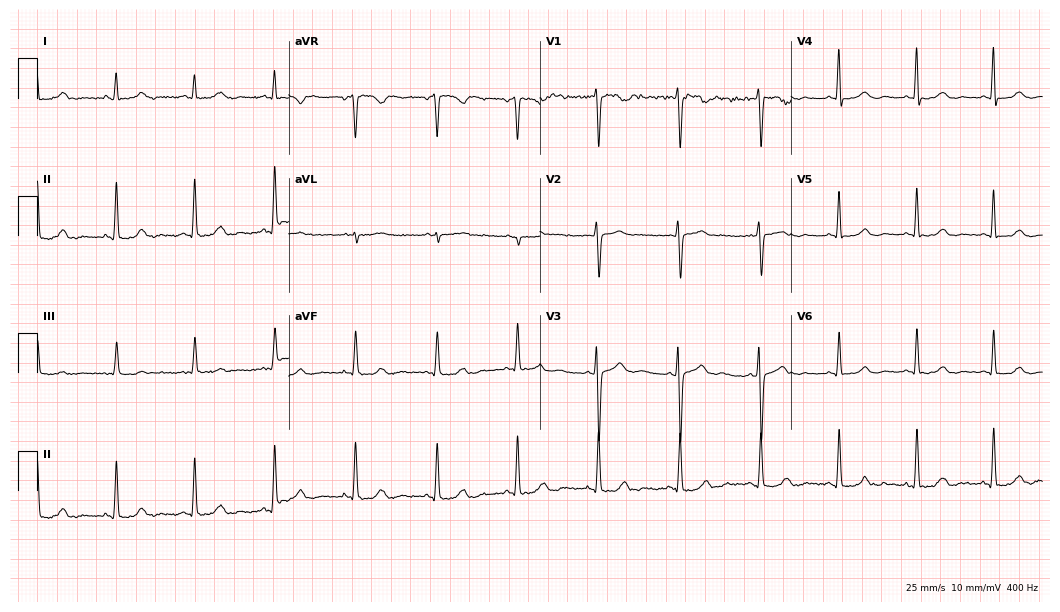
12-lead ECG from a woman, 39 years old (10.2-second recording at 400 Hz). Recorded interpretation: within normal limits.